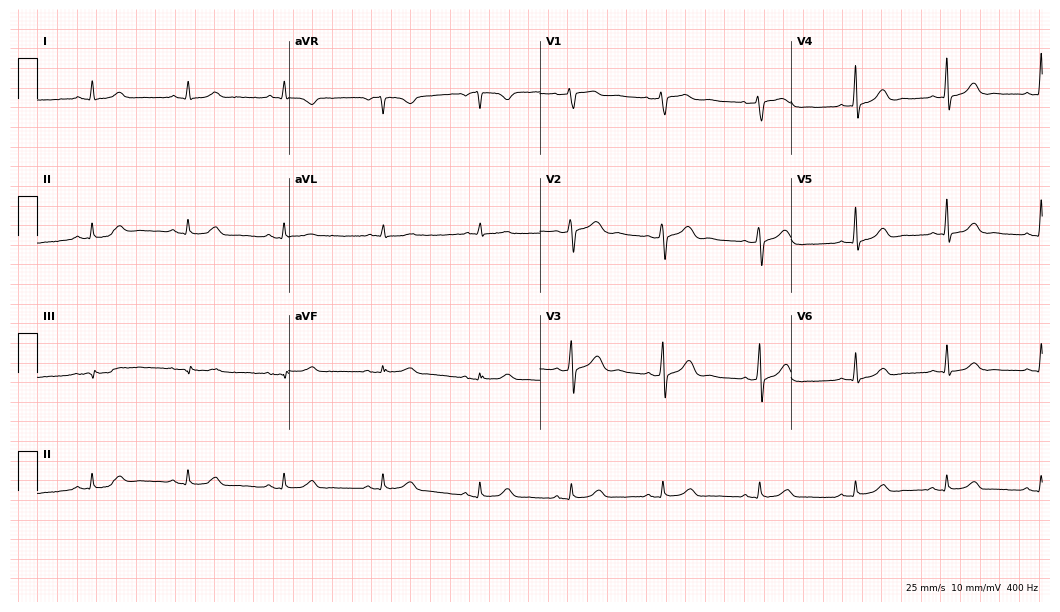
12-lead ECG (10.2-second recording at 400 Hz) from a 49-year-old female. Screened for six findings — first-degree AV block, right bundle branch block, left bundle branch block, sinus bradycardia, atrial fibrillation, sinus tachycardia — none is recorded. Only these six findings were labelled.